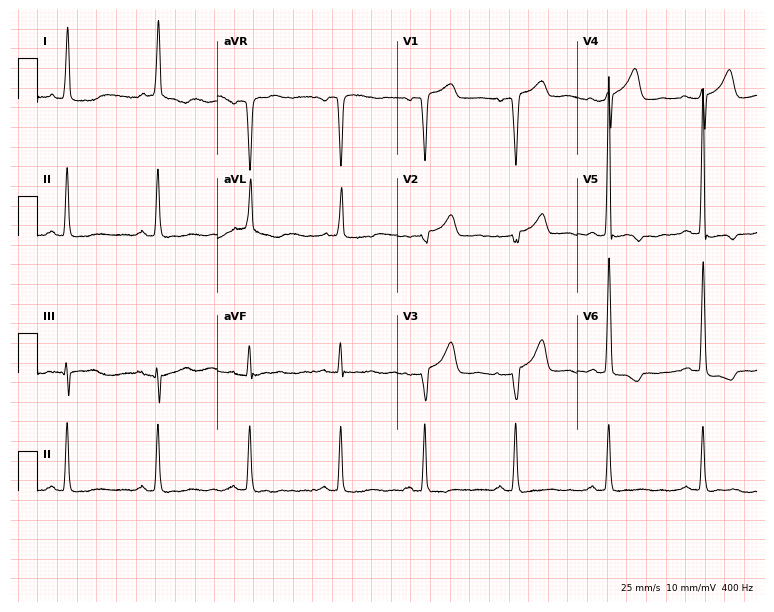
12-lead ECG from an 81-year-old female. No first-degree AV block, right bundle branch block, left bundle branch block, sinus bradycardia, atrial fibrillation or sinus tachycardia recorded for this tracing.